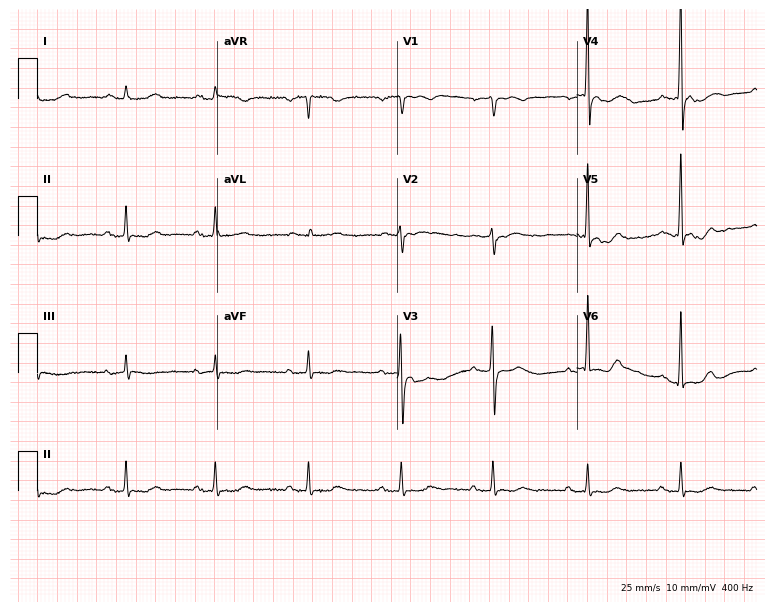
ECG (7.3-second recording at 400 Hz) — a 72-year-old female. Screened for six findings — first-degree AV block, right bundle branch block, left bundle branch block, sinus bradycardia, atrial fibrillation, sinus tachycardia — none is recorded. Only these six findings were labelled.